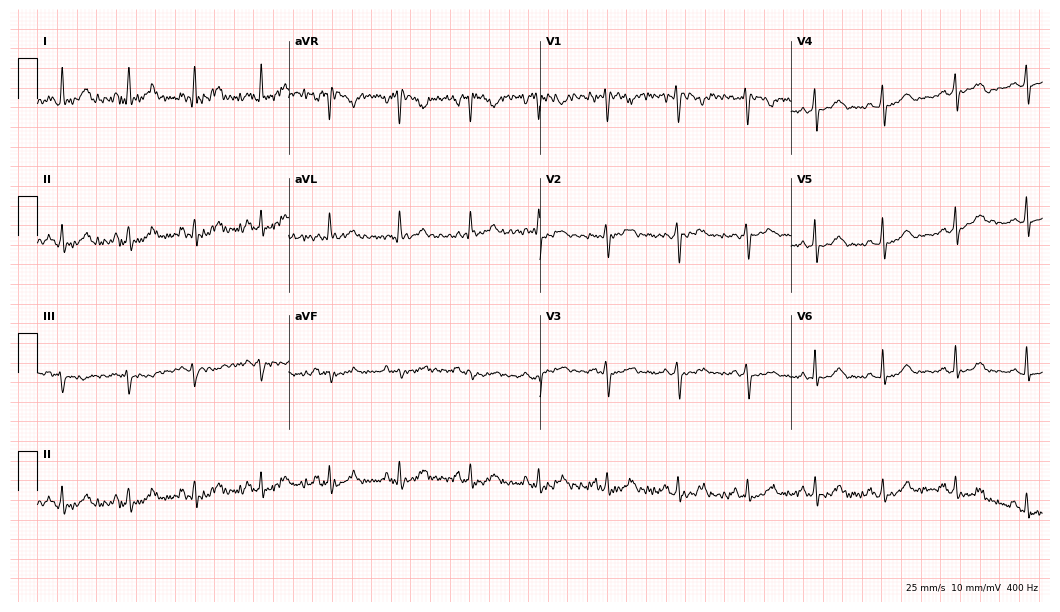
12-lead ECG from a woman, 39 years old. Labelled as a normal ECG.